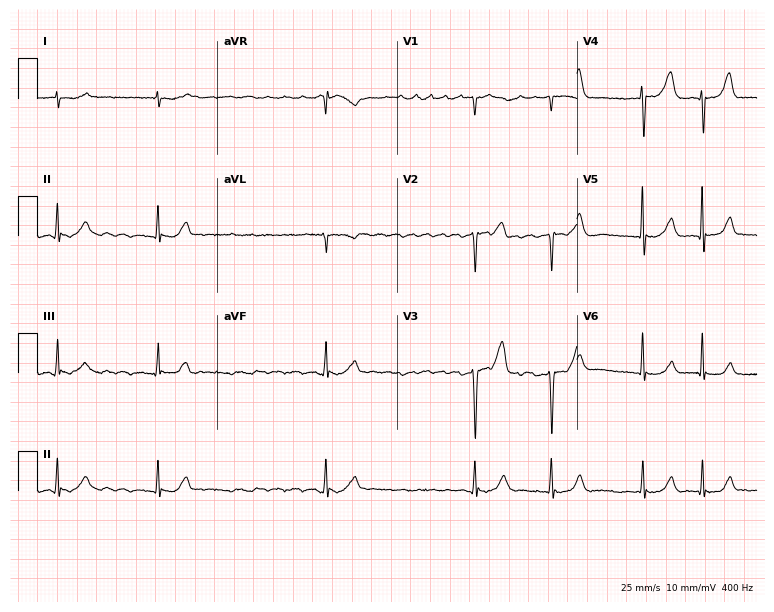
Resting 12-lead electrocardiogram. Patient: a woman, 81 years old. The tracing shows atrial fibrillation.